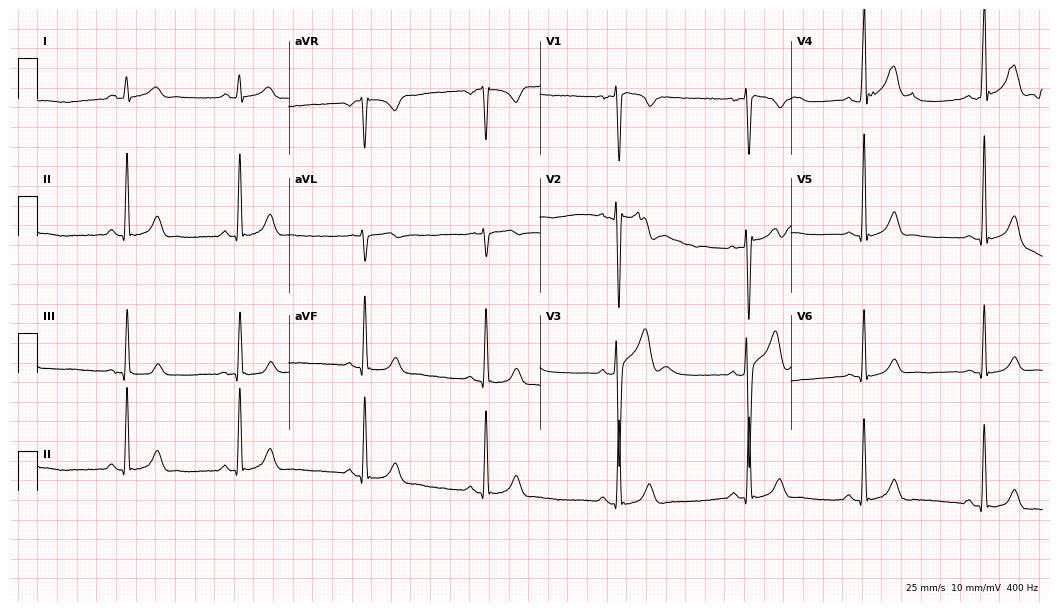
Resting 12-lead electrocardiogram. Patient: a male, 27 years old. The tracing shows right bundle branch block (RBBB), sinus bradycardia (a sinus rate of 50 beats per minute or less).